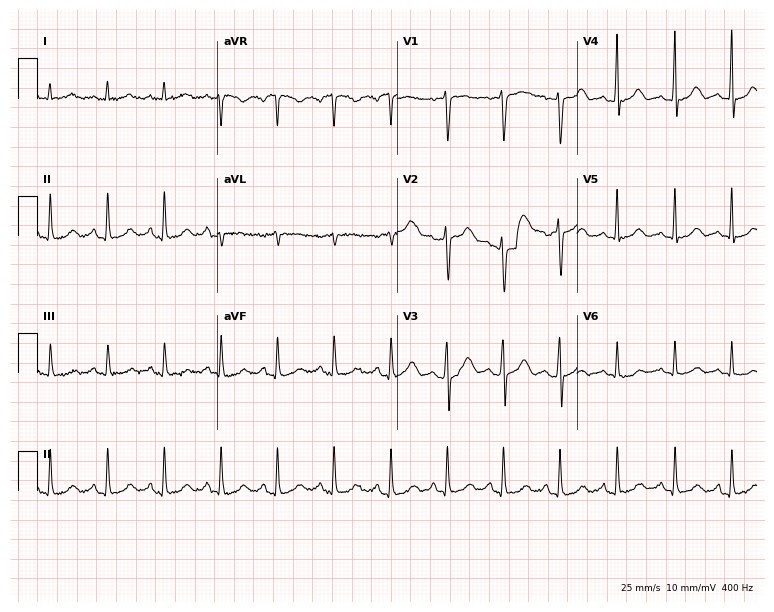
12-lead ECG from a 31-year-old male patient. Recorded interpretation: within normal limits.